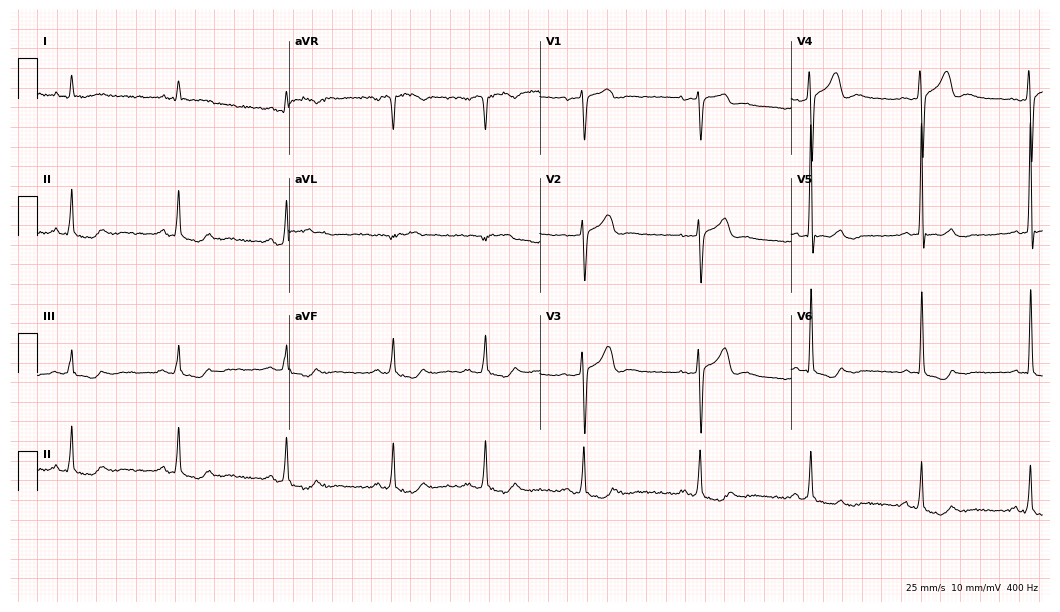
12-lead ECG from a 63-year-old man (10.2-second recording at 400 Hz). No first-degree AV block, right bundle branch block (RBBB), left bundle branch block (LBBB), sinus bradycardia, atrial fibrillation (AF) or sinus tachycardia recorded for this tracing.